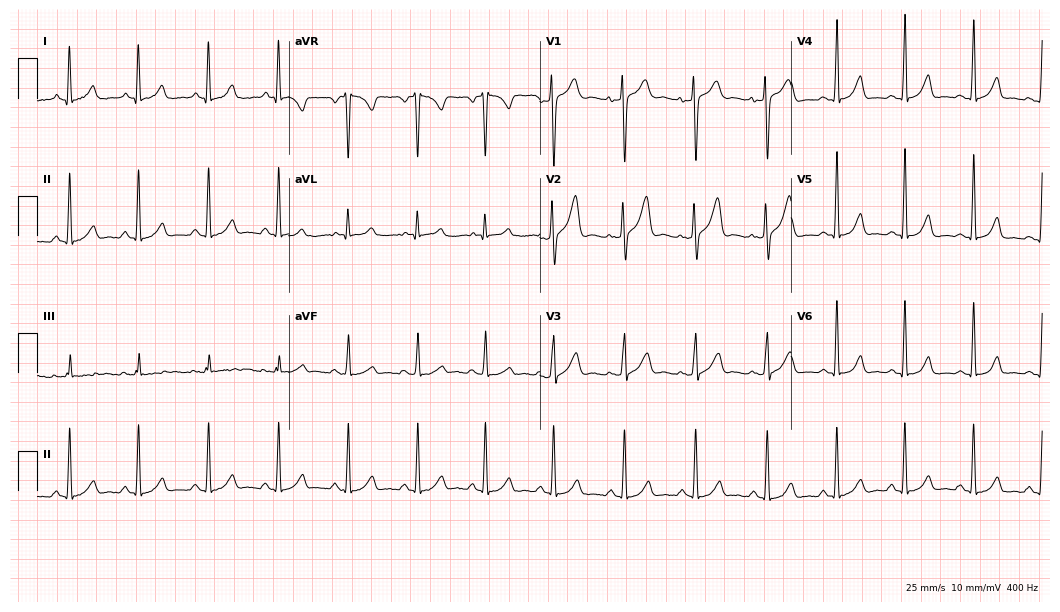
12-lead ECG from a female, 35 years old. Labelled as a normal ECG.